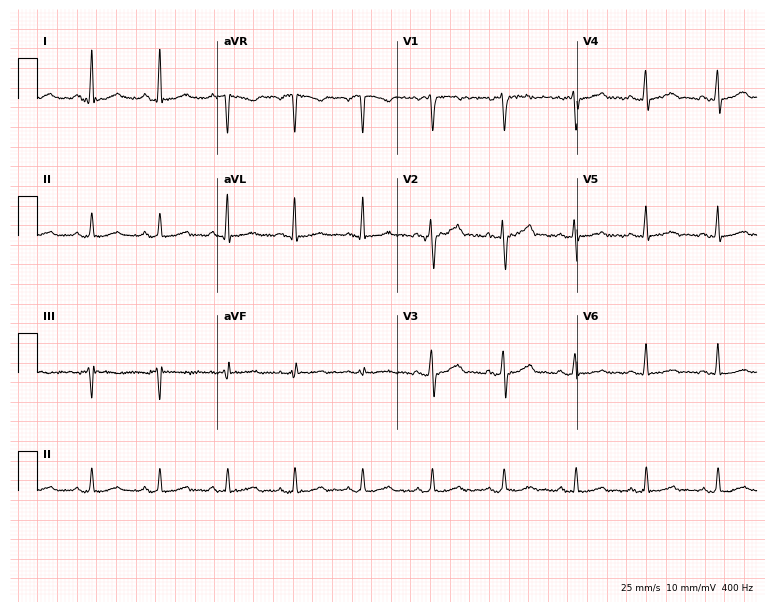
Standard 12-lead ECG recorded from a male, 36 years old. Read as a normal ECG.